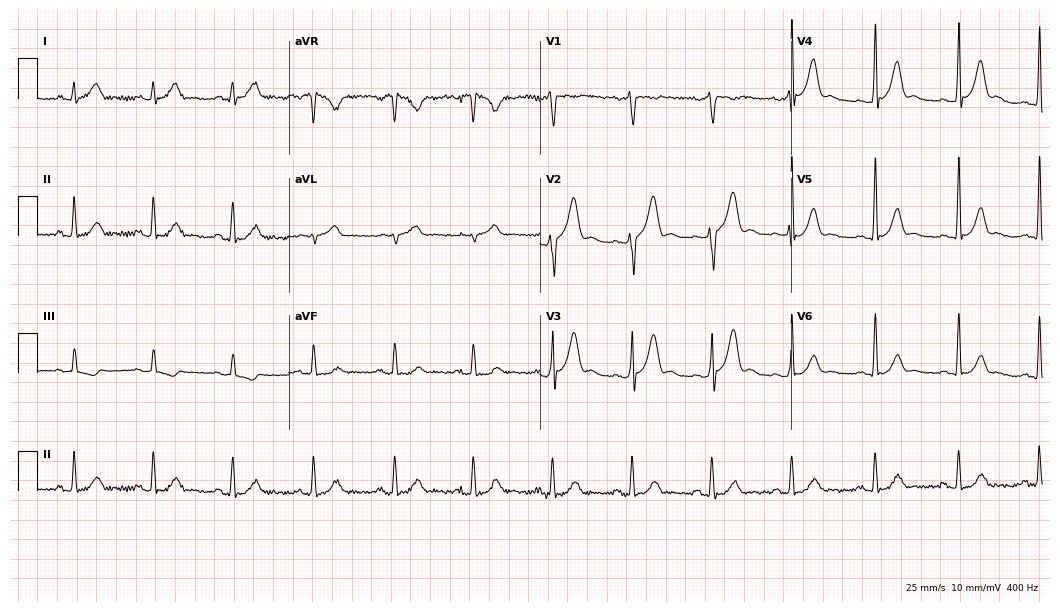
ECG (10.2-second recording at 400 Hz) — a male patient, 39 years old. Screened for six findings — first-degree AV block, right bundle branch block (RBBB), left bundle branch block (LBBB), sinus bradycardia, atrial fibrillation (AF), sinus tachycardia — none is recorded.